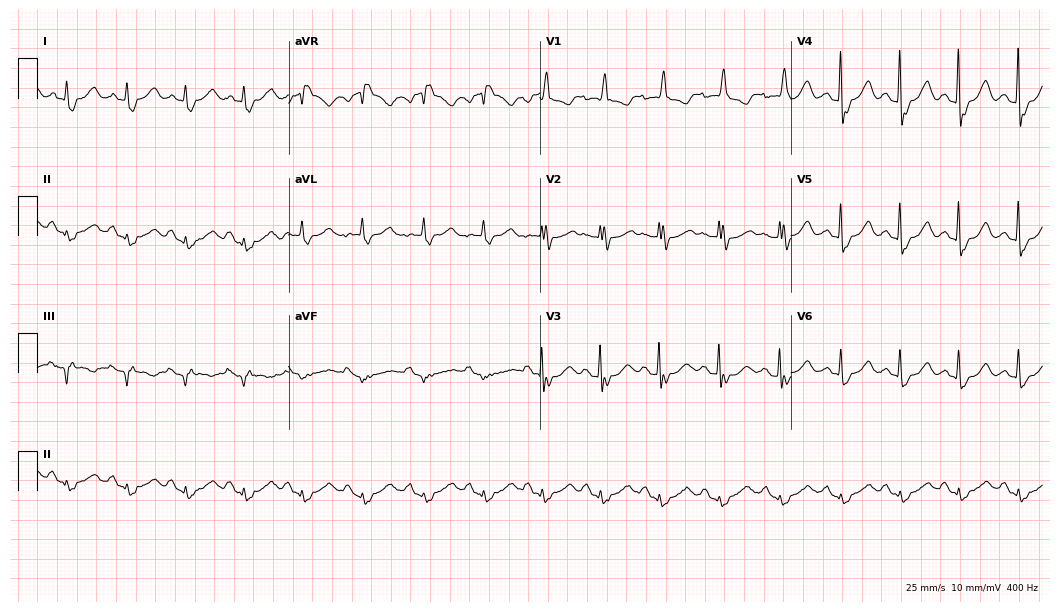
12-lead ECG from a 73-year-old female (10.2-second recording at 400 Hz). Shows right bundle branch block.